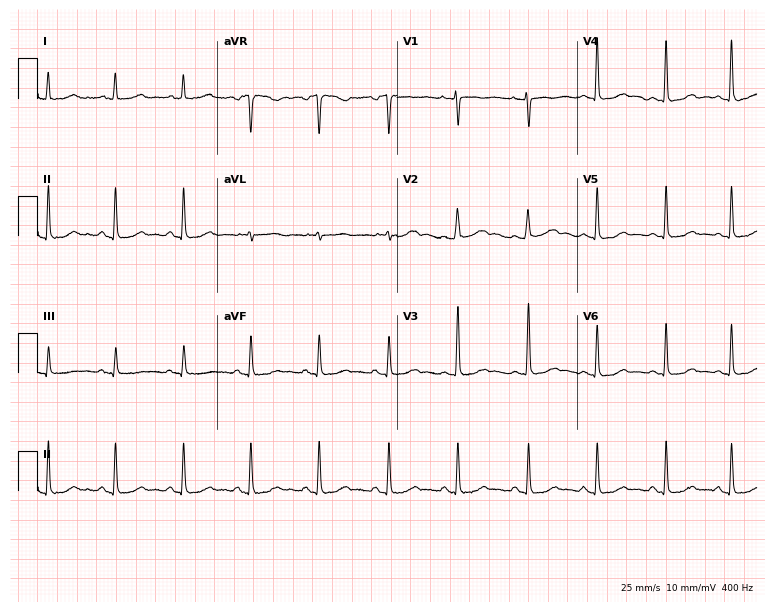
12-lead ECG (7.3-second recording at 400 Hz) from a 49-year-old woman. Screened for six findings — first-degree AV block, right bundle branch block, left bundle branch block, sinus bradycardia, atrial fibrillation, sinus tachycardia — none is recorded.